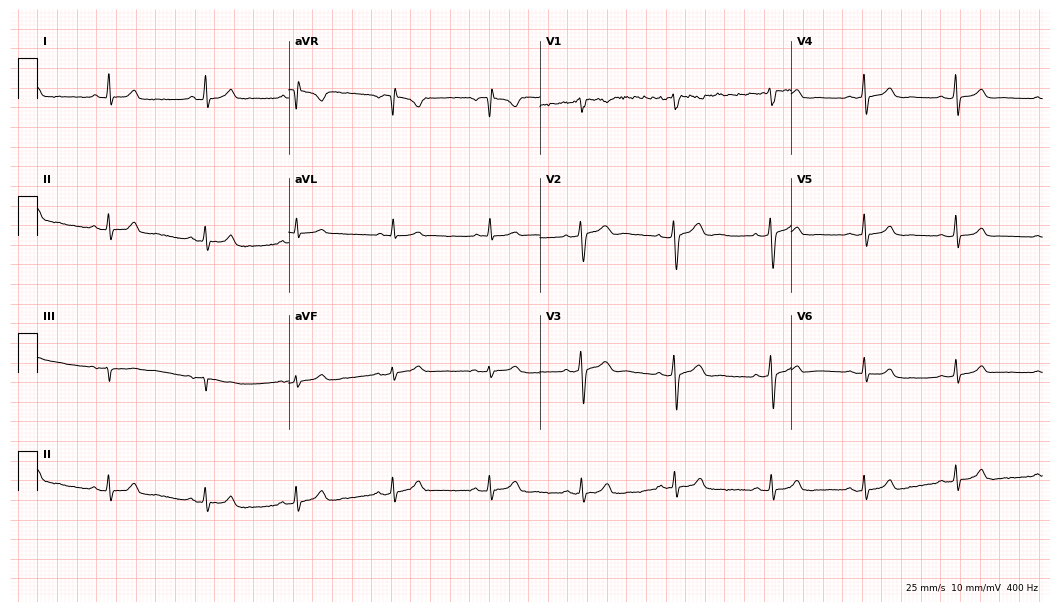
Standard 12-lead ECG recorded from a 33-year-old female patient (10.2-second recording at 400 Hz). Read as a normal ECG.